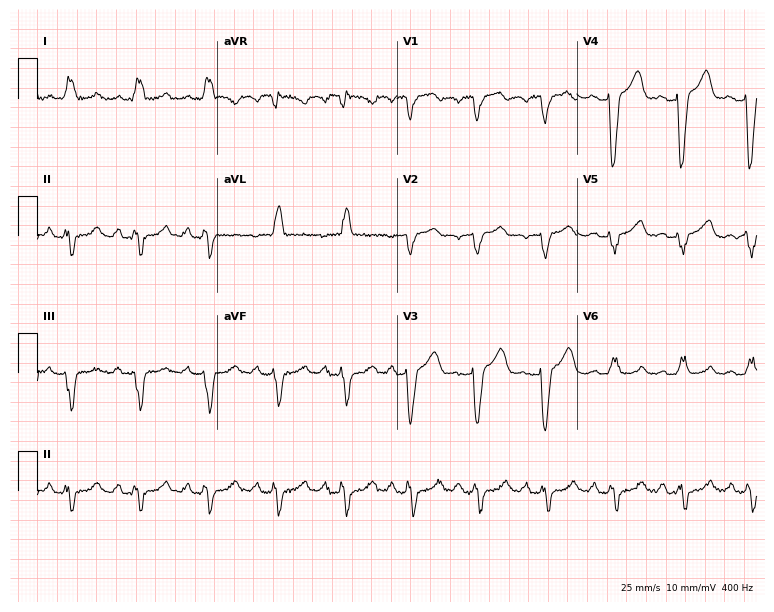
12-lead ECG from a female, 79 years old (7.3-second recording at 400 Hz). Shows left bundle branch block (LBBB).